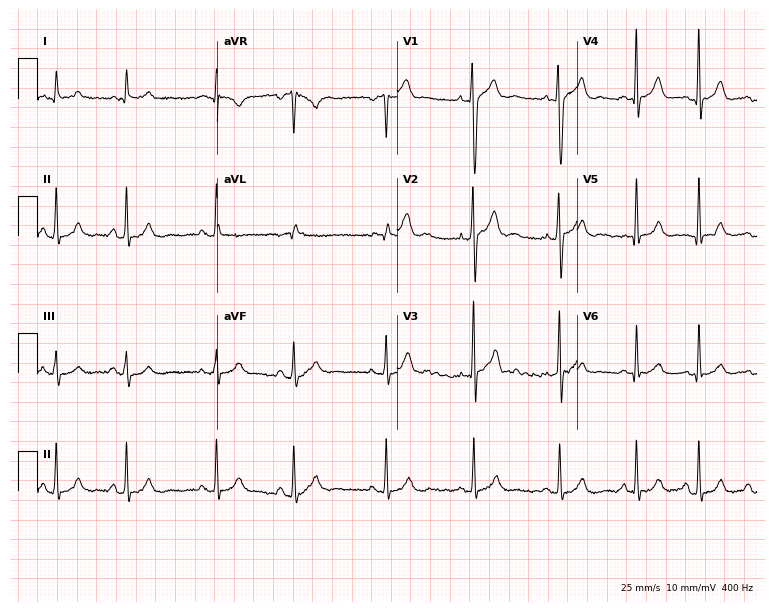
Electrocardiogram, an 18-year-old male patient. Overall reading on record: normal ECG.